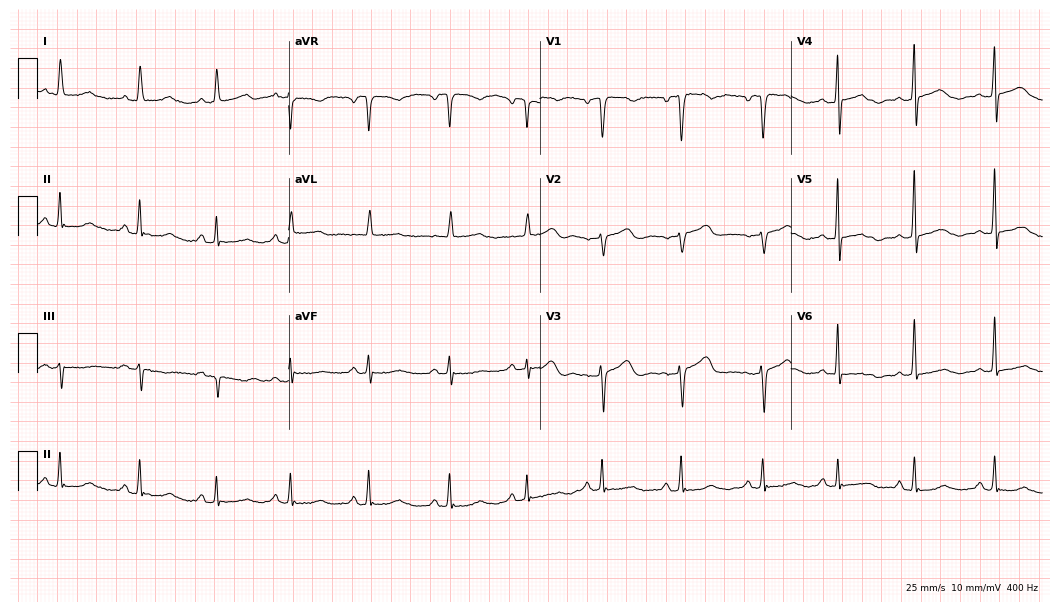
Electrocardiogram (10.2-second recording at 400 Hz), a 55-year-old female. Of the six screened findings (first-degree AV block, right bundle branch block, left bundle branch block, sinus bradycardia, atrial fibrillation, sinus tachycardia), none is recorded.